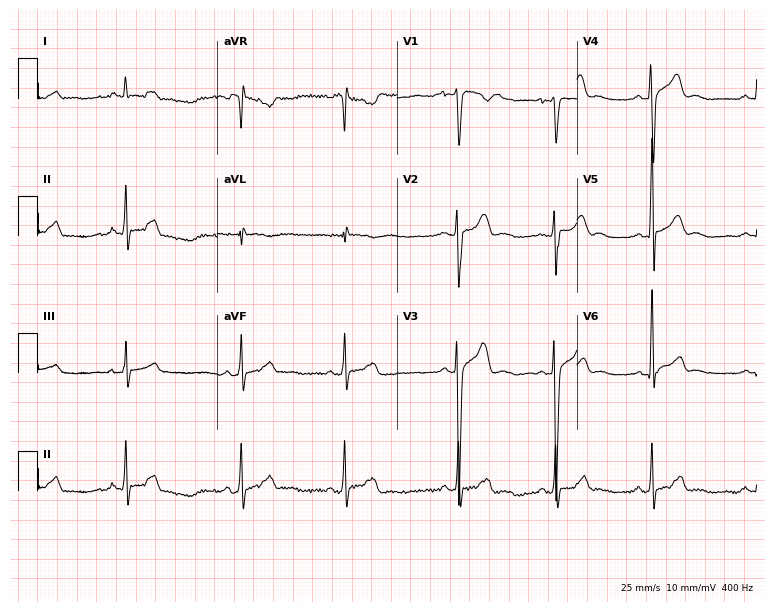
Resting 12-lead electrocardiogram (7.3-second recording at 400 Hz). Patient: a 17-year-old female. Read as a normal ECG.